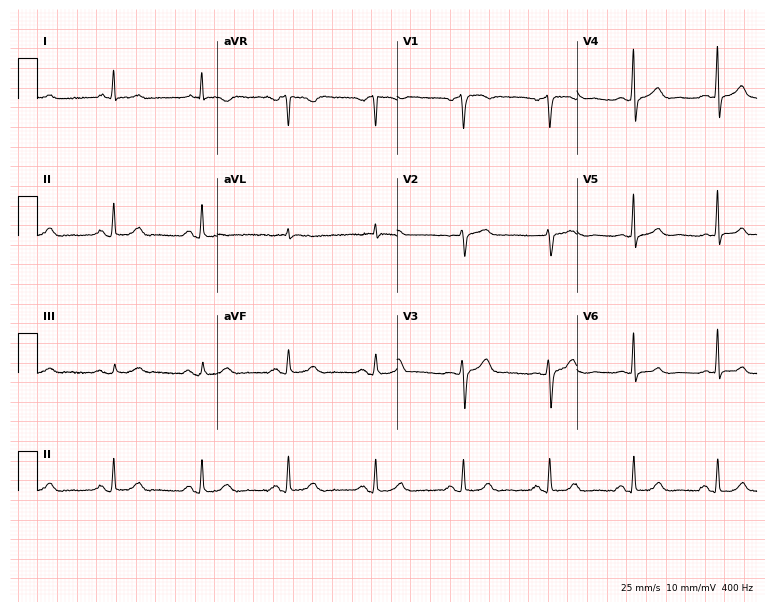
Electrocardiogram (7.3-second recording at 400 Hz), a male, 70 years old. Overall reading on record: normal ECG.